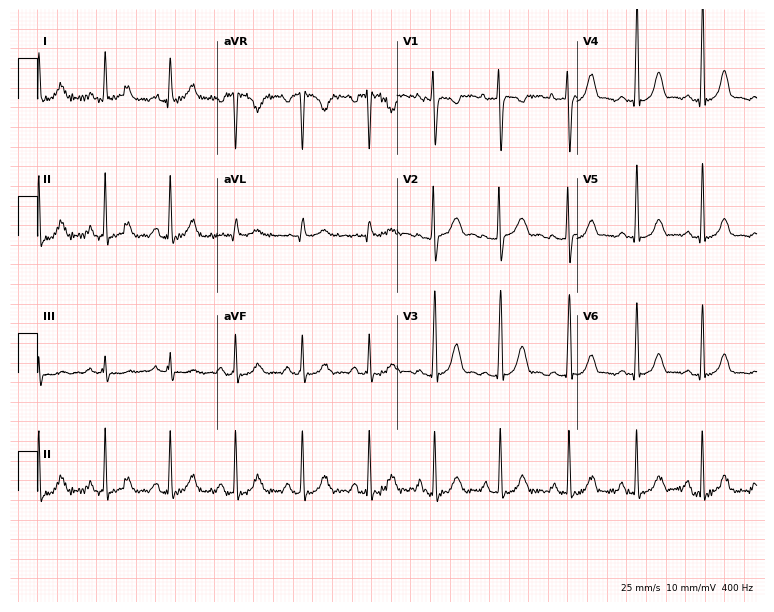
Resting 12-lead electrocardiogram. Patient: a 21-year-old woman. None of these six findings is recorded: first-degree AV block, right bundle branch block, left bundle branch block, sinus bradycardia, atrial fibrillation, sinus tachycardia. Other findings, if any, are not listed.